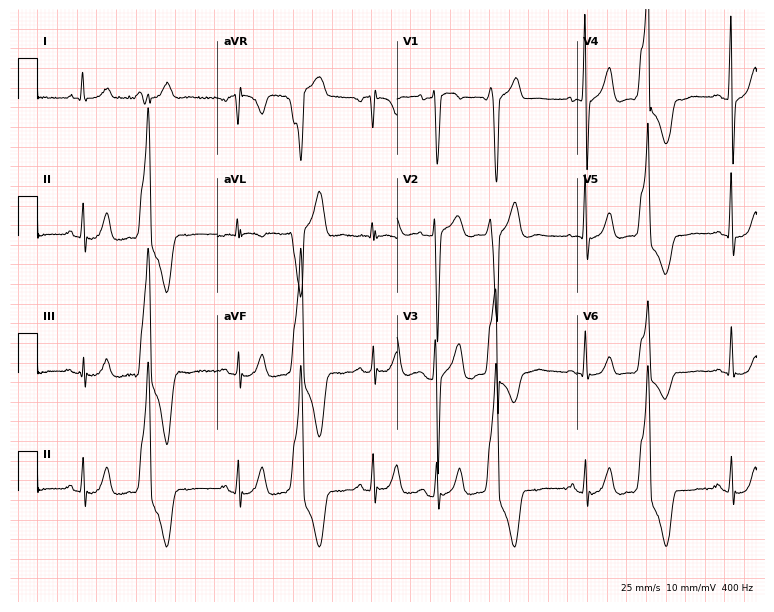
ECG — a 21-year-old man. Labelled as a normal ECG.